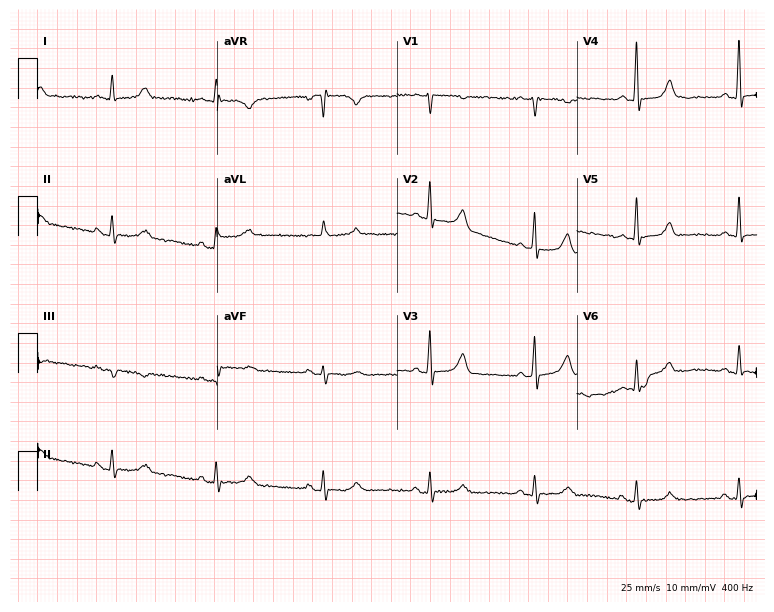
12-lead ECG (7.3-second recording at 400 Hz) from a 72-year-old female. Screened for six findings — first-degree AV block, right bundle branch block, left bundle branch block, sinus bradycardia, atrial fibrillation, sinus tachycardia — none is recorded.